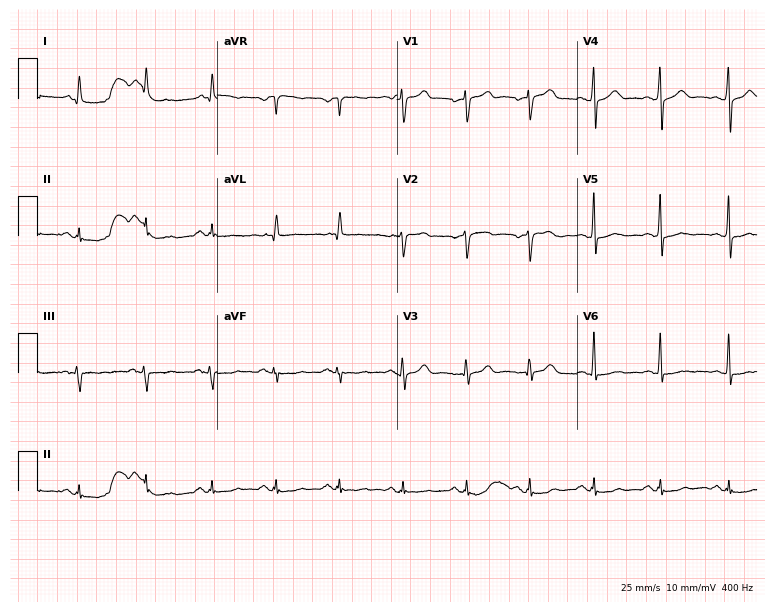
ECG (7.3-second recording at 400 Hz) — a 58-year-old man. Labelled as a normal ECG.